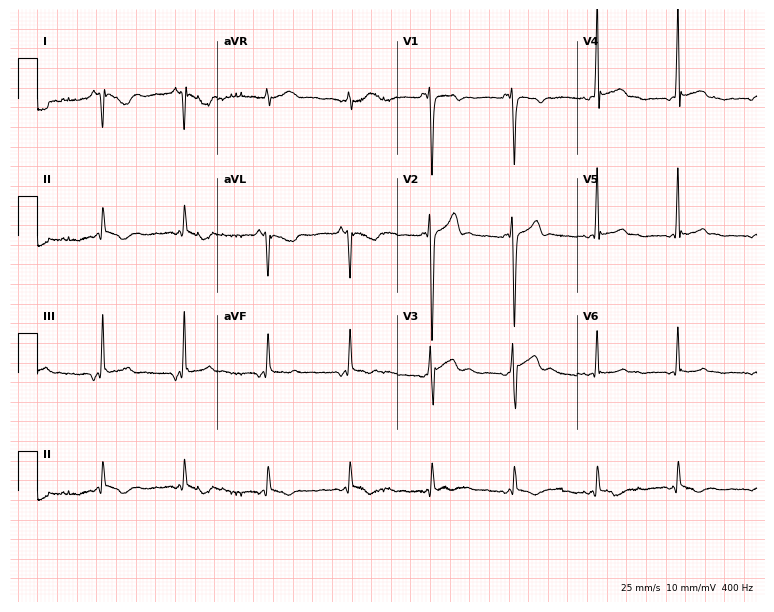
Electrocardiogram (7.3-second recording at 400 Hz), a male, 17 years old. Of the six screened findings (first-degree AV block, right bundle branch block (RBBB), left bundle branch block (LBBB), sinus bradycardia, atrial fibrillation (AF), sinus tachycardia), none is recorded.